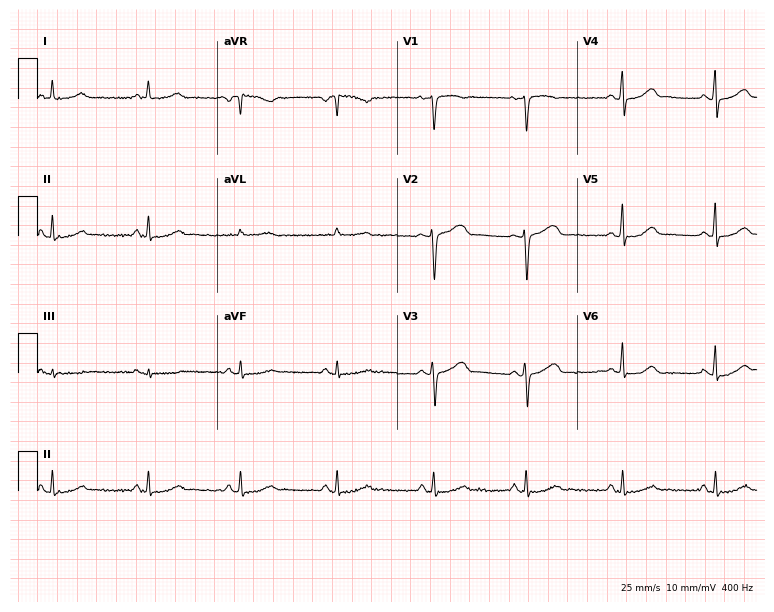
ECG (7.3-second recording at 400 Hz) — a female, 45 years old. Labelled as a normal ECG.